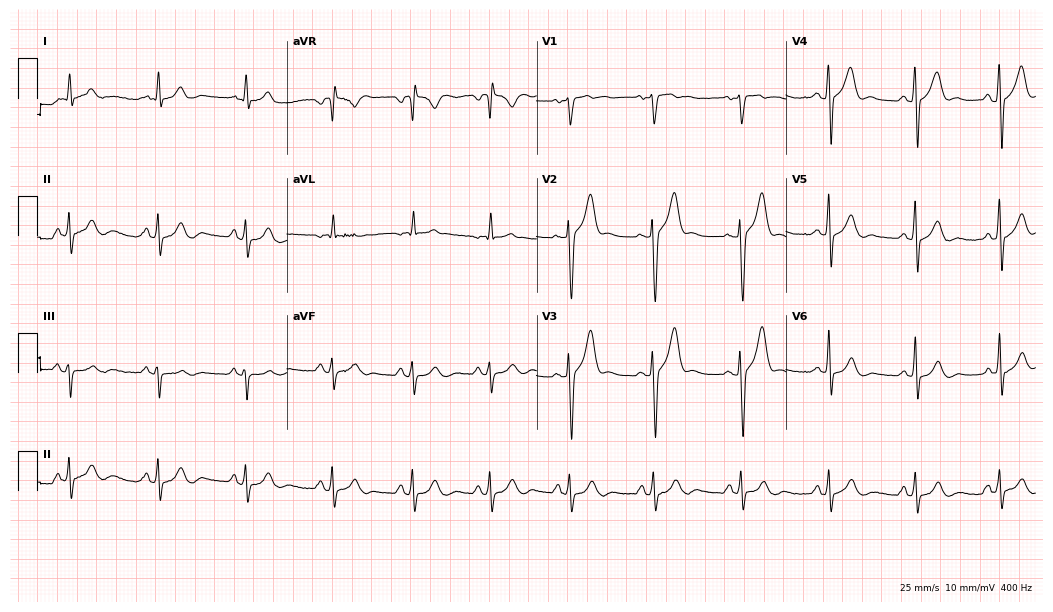
Standard 12-lead ECG recorded from a 50-year-old man (10.2-second recording at 400 Hz). Read as a normal ECG.